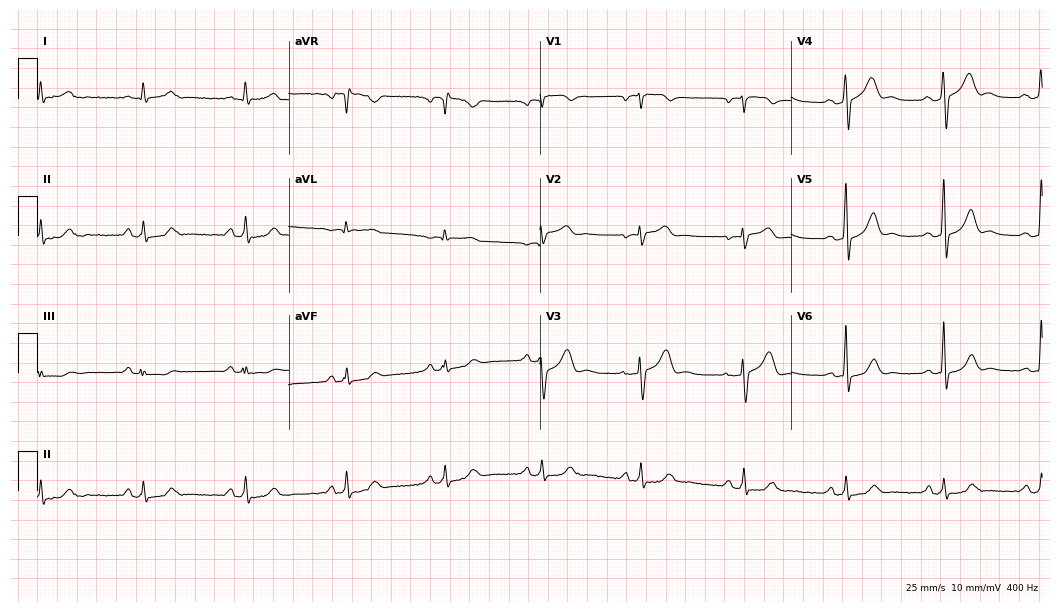
Standard 12-lead ECG recorded from a 56-year-old male patient. Read as a normal ECG.